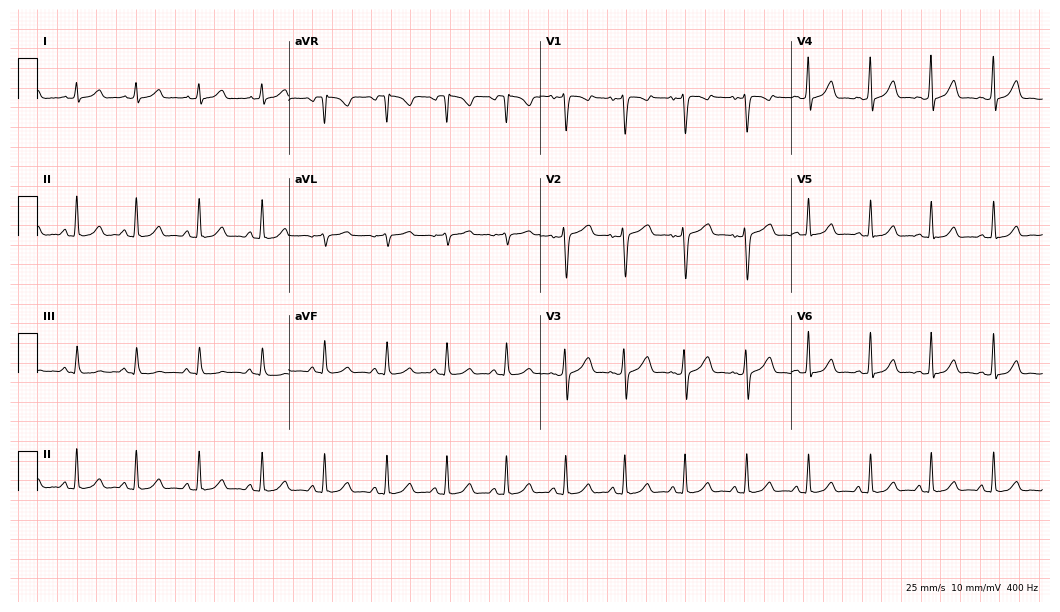
12-lead ECG from a woman, 18 years old. Recorded interpretation: within normal limits.